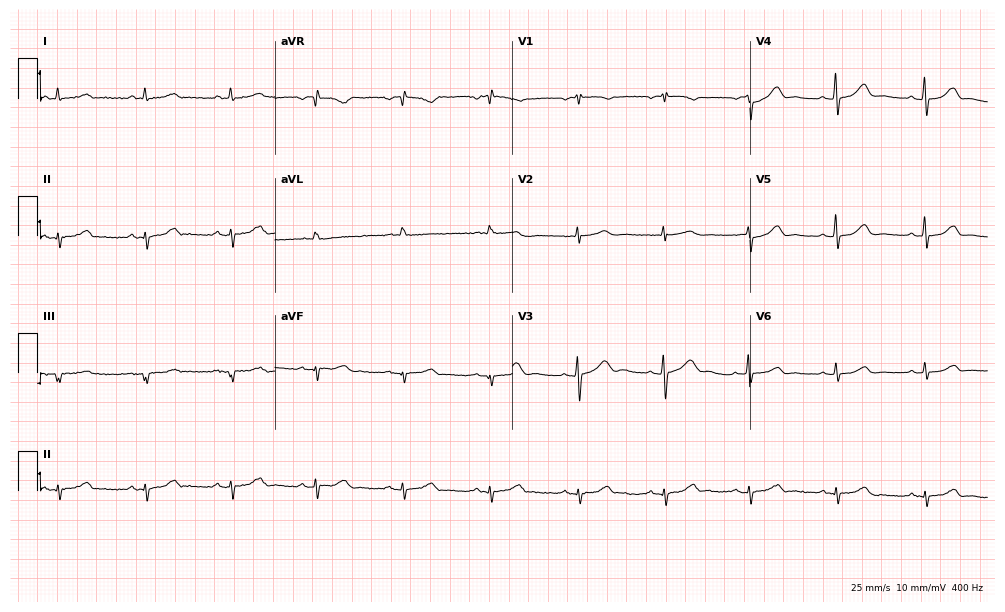
Resting 12-lead electrocardiogram. Patient: a woman, 83 years old. None of these six findings is recorded: first-degree AV block, right bundle branch block (RBBB), left bundle branch block (LBBB), sinus bradycardia, atrial fibrillation (AF), sinus tachycardia. Findings outside these six are not listed.